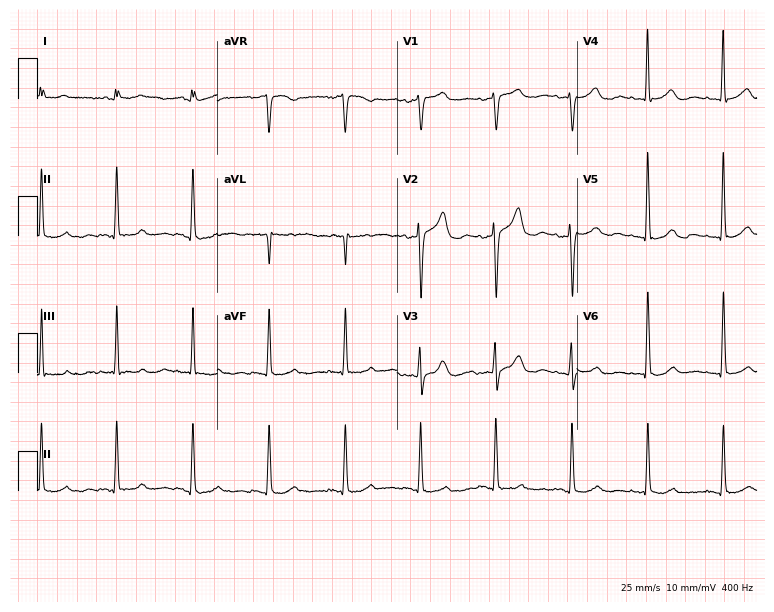
ECG (7.3-second recording at 400 Hz) — a 56-year-old woman. Labelled as a normal ECG.